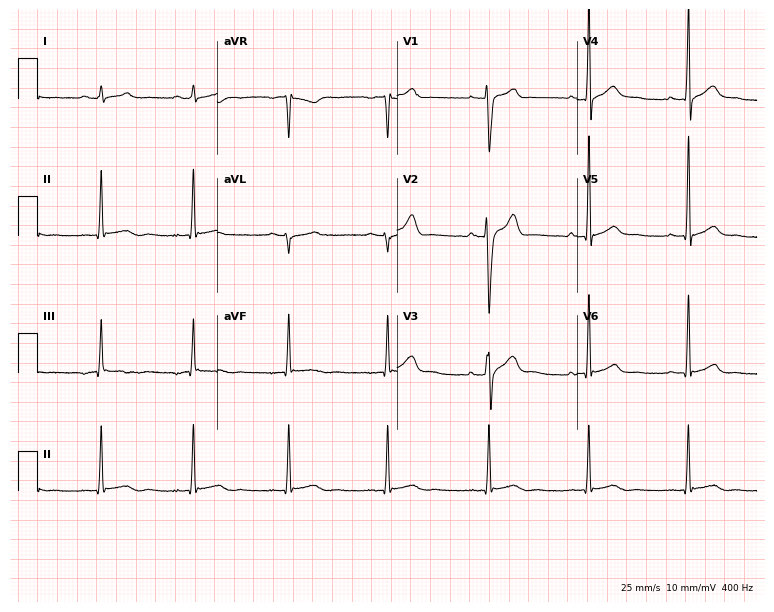
12-lead ECG from a 29-year-old man. Recorded interpretation: within normal limits.